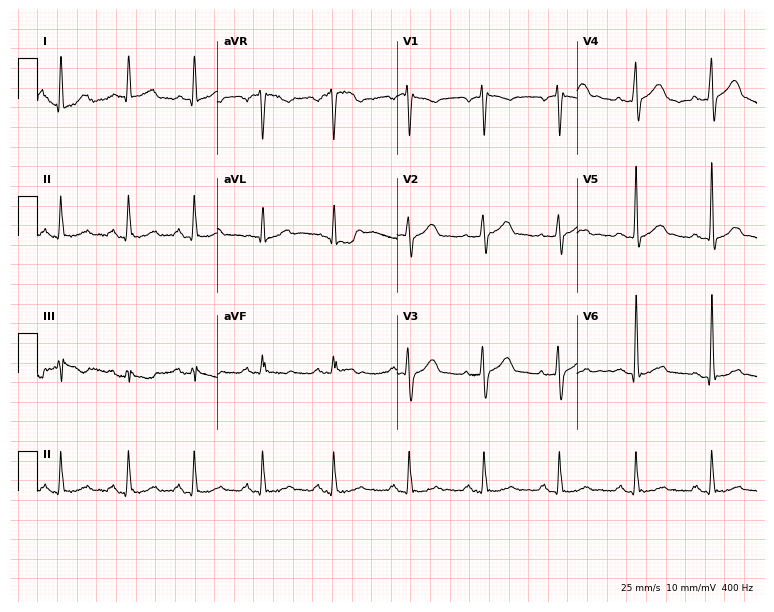
Electrocardiogram, a male patient, 46 years old. Overall reading on record: normal ECG.